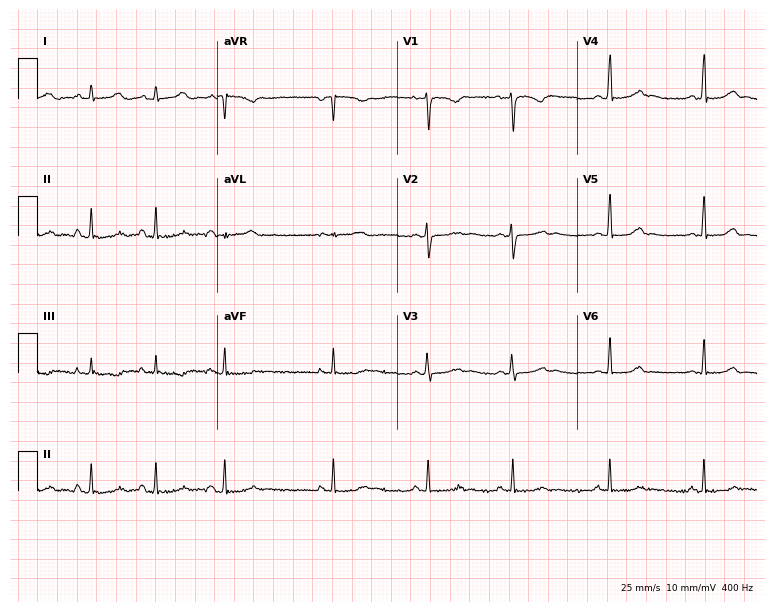
12-lead ECG from a female, 23 years old. No first-degree AV block, right bundle branch block (RBBB), left bundle branch block (LBBB), sinus bradycardia, atrial fibrillation (AF) or sinus tachycardia recorded for this tracing.